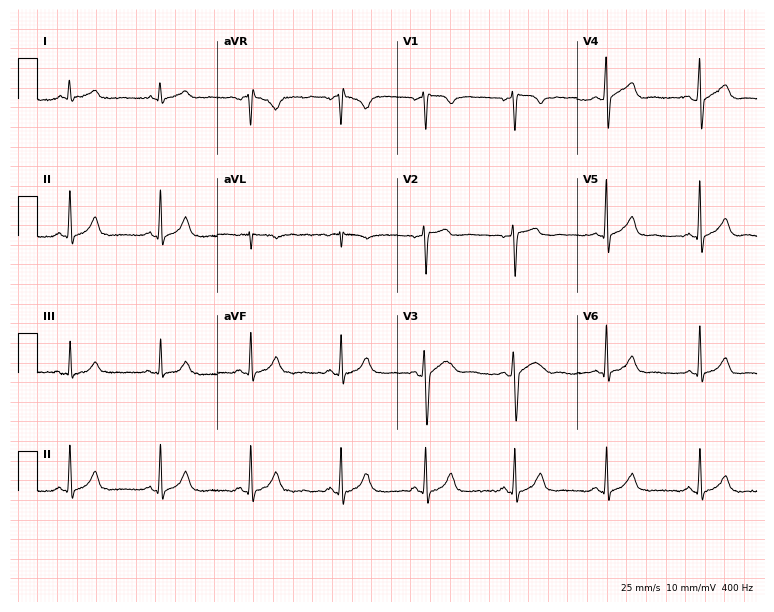
Resting 12-lead electrocardiogram. Patient: a 47-year-old man. Read as a normal ECG.